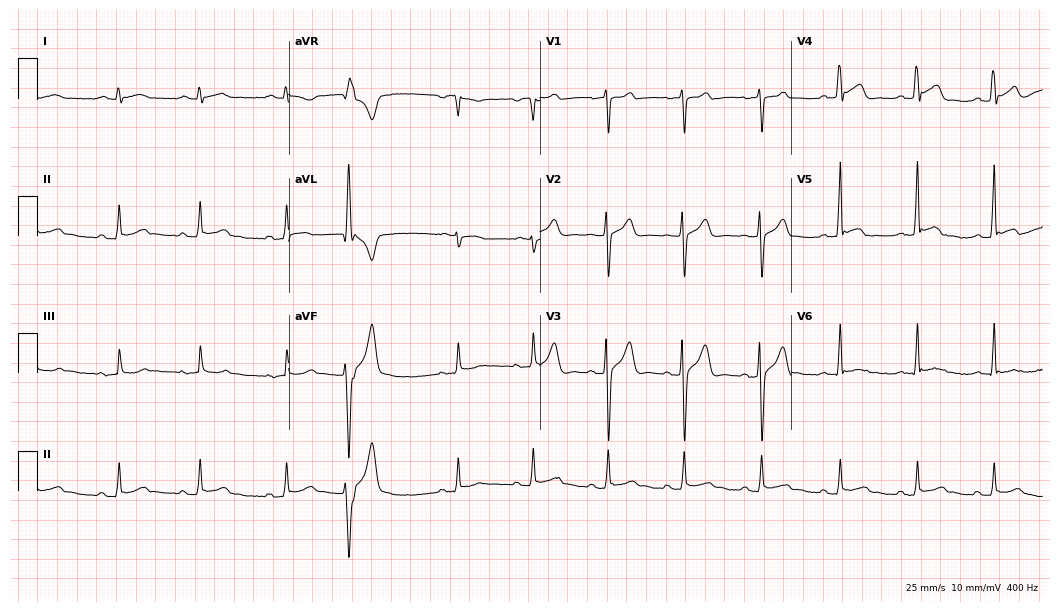
Electrocardiogram (10.2-second recording at 400 Hz), a 27-year-old man. Overall reading on record: normal ECG.